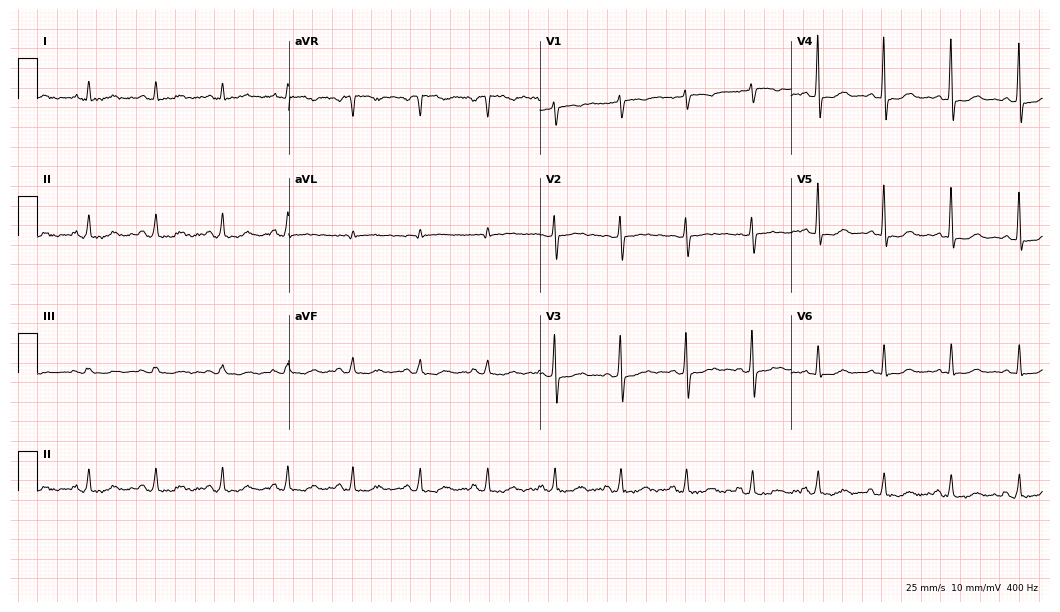
12-lead ECG from a 56-year-old female patient. Screened for six findings — first-degree AV block, right bundle branch block (RBBB), left bundle branch block (LBBB), sinus bradycardia, atrial fibrillation (AF), sinus tachycardia — none is recorded.